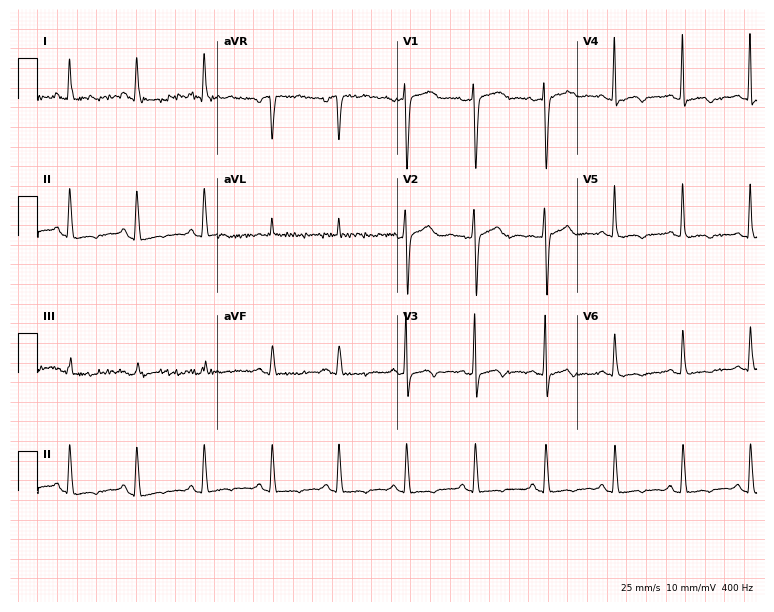
Electrocardiogram, a 64-year-old female. Of the six screened findings (first-degree AV block, right bundle branch block (RBBB), left bundle branch block (LBBB), sinus bradycardia, atrial fibrillation (AF), sinus tachycardia), none is recorded.